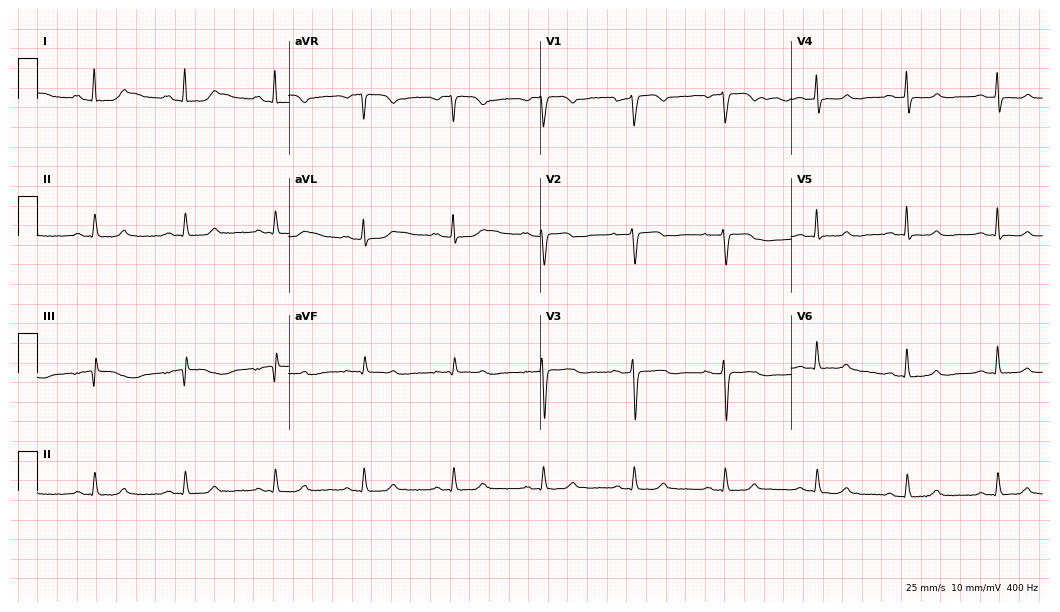
Standard 12-lead ECG recorded from a 65-year-old female patient (10.2-second recording at 400 Hz). Read as a normal ECG.